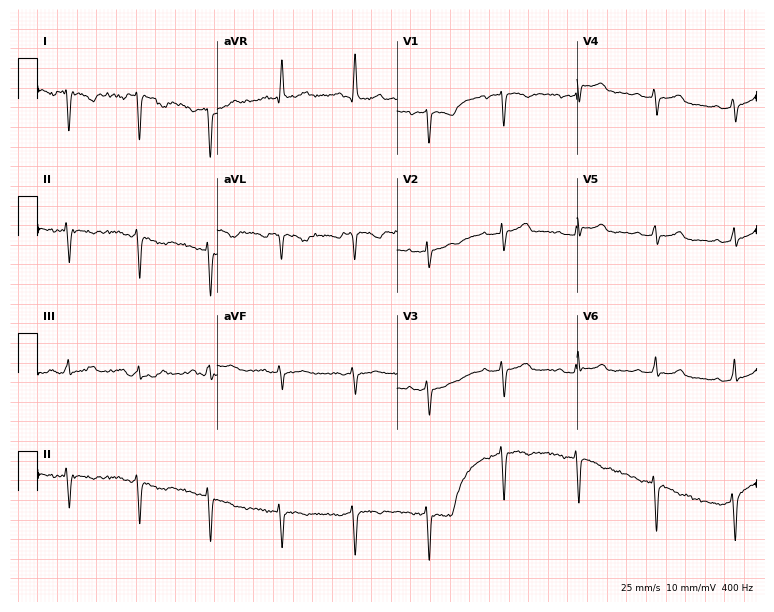
12-lead ECG from a 50-year-old female patient (7.3-second recording at 400 Hz). No first-degree AV block, right bundle branch block, left bundle branch block, sinus bradycardia, atrial fibrillation or sinus tachycardia recorded for this tracing.